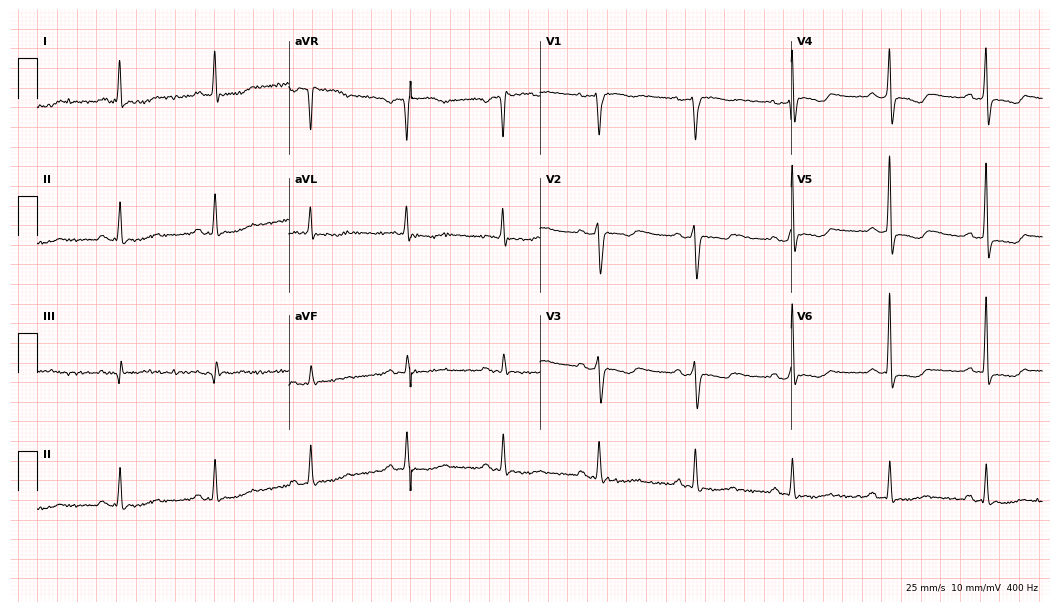
12-lead ECG from a 76-year-old man (10.2-second recording at 400 Hz). No first-degree AV block, right bundle branch block, left bundle branch block, sinus bradycardia, atrial fibrillation or sinus tachycardia recorded for this tracing. Findings outside these six are not listed.